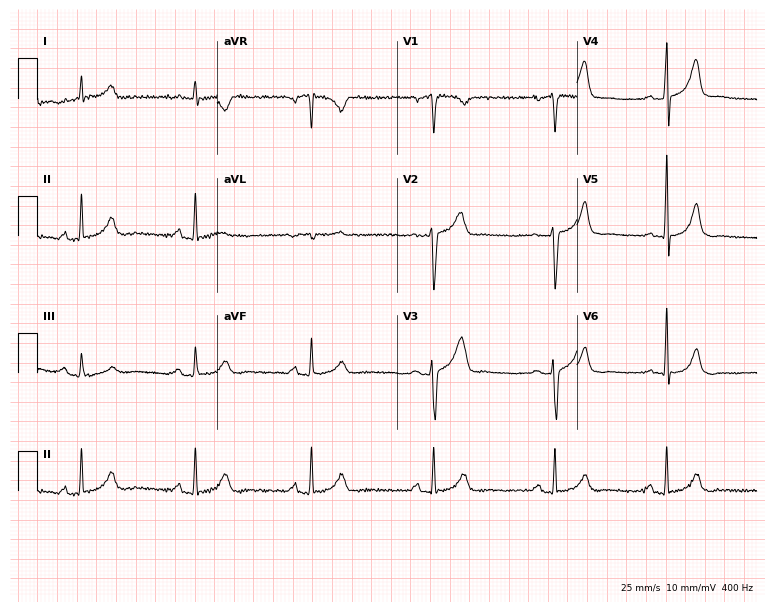
Standard 12-lead ECG recorded from a male patient, 53 years old (7.3-second recording at 400 Hz). None of these six findings is recorded: first-degree AV block, right bundle branch block, left bundle branch block, sinus bradycardia, atrial fibrillation, sinus tachycardia.